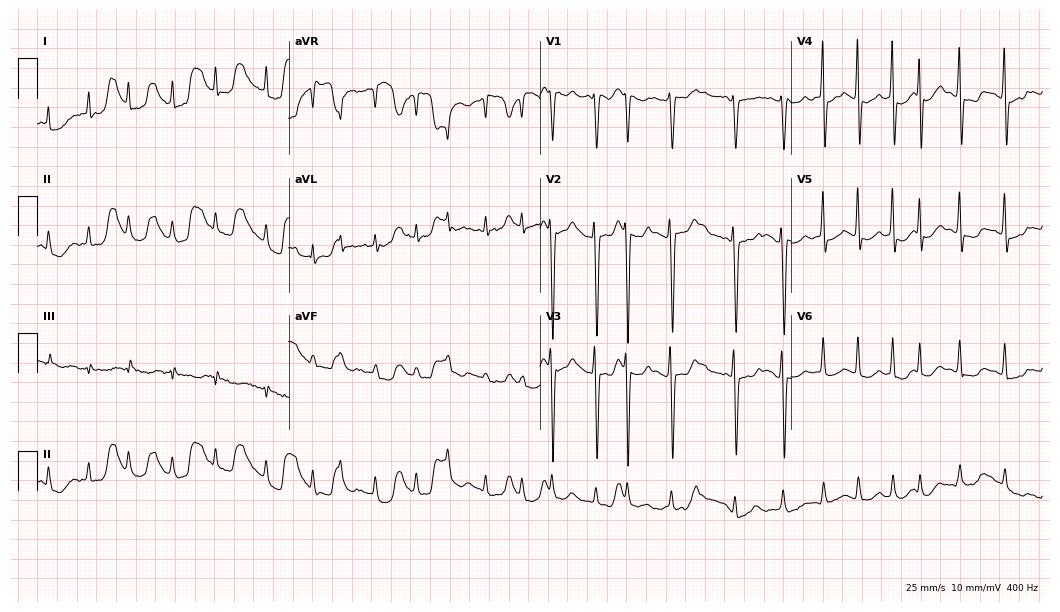
ECG (10.2-second recording at 400 Hz) — a woman, 84 years old. Screened for six findings — first-degree AV block, right bundle branch block, left bundle branch block, sinus bradycardia, atrial fibrillation, sinus tachycardia — none is recorded.